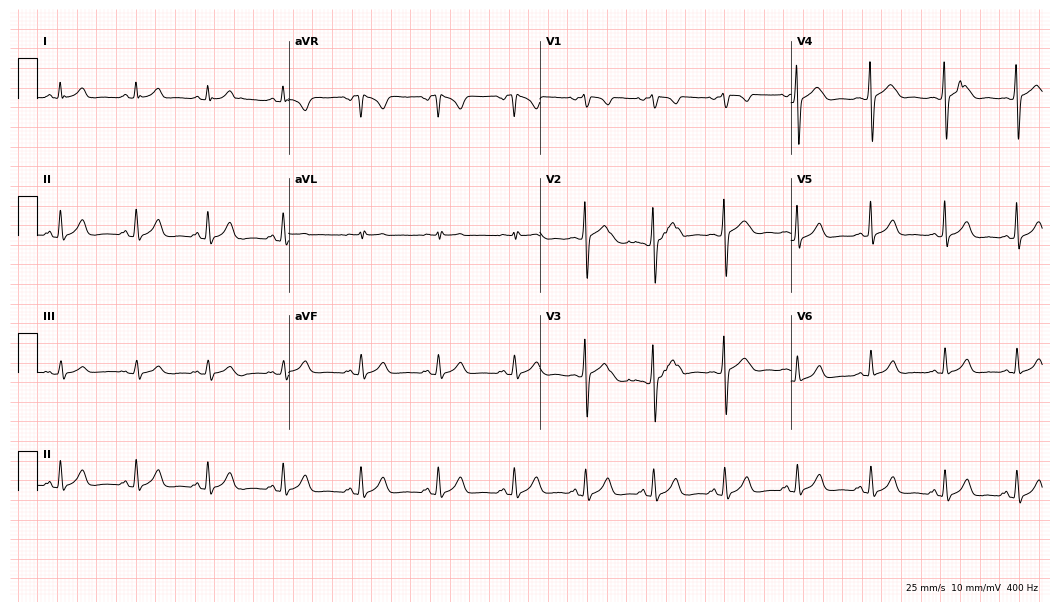
ECG — a woman, 33 years old. Labelled as a normal ECG.